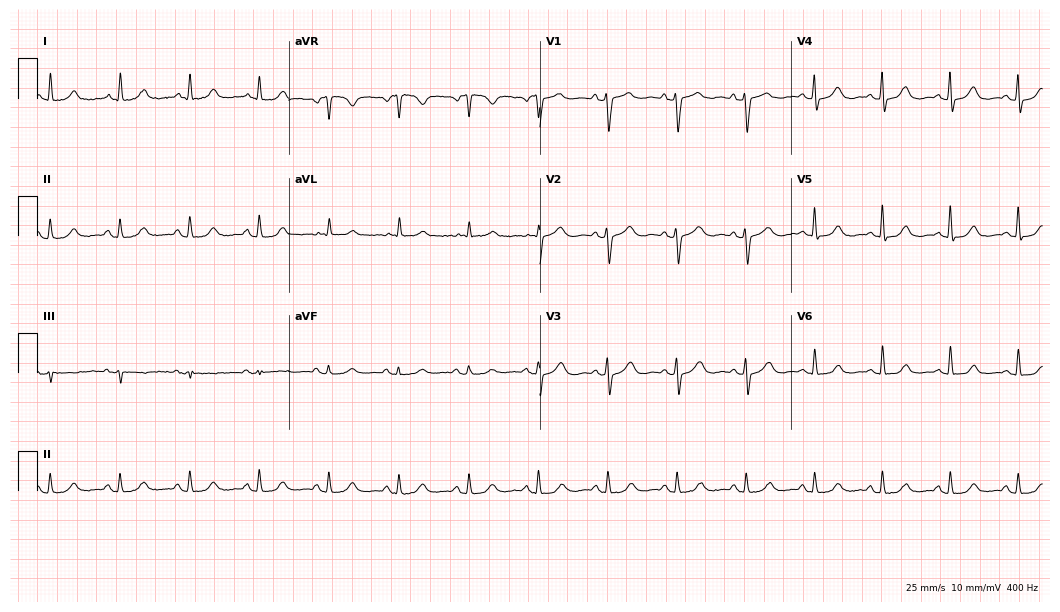
ECG (10.2-second recording at 400 Hz) — a female patient, 84 years old. Labelled as a normal ECG.